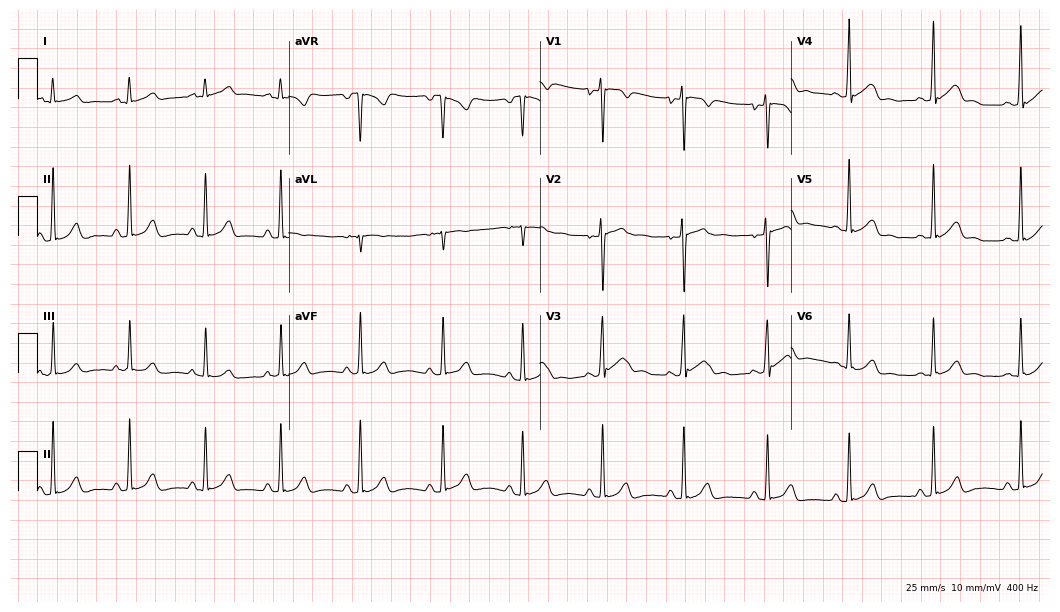
12-lead ECG (10.2-second recording at 400 Hz) from a male patient, 19 years old. Screened for six findings — first-degree AV block, right bundle branch block, left bundle branch block, sinus bradycardia, atrial fibrillation, sinus tachycardia — none is recorded.